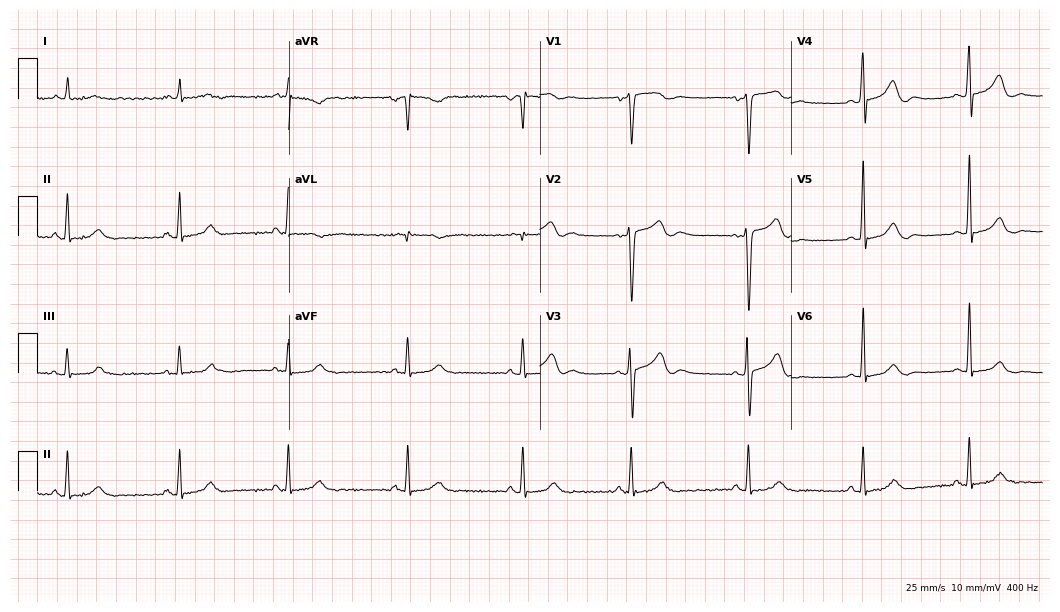
12-lead ECG from a 45-year-old female (10.2-second recording at 400 Hz). No first-degree AV block, right bundle branch block, left bundle branch block, sinus bradycardia, atrial fibrillation or sinus tachycardia recorded for this tracing. Only these six findings were labelled.